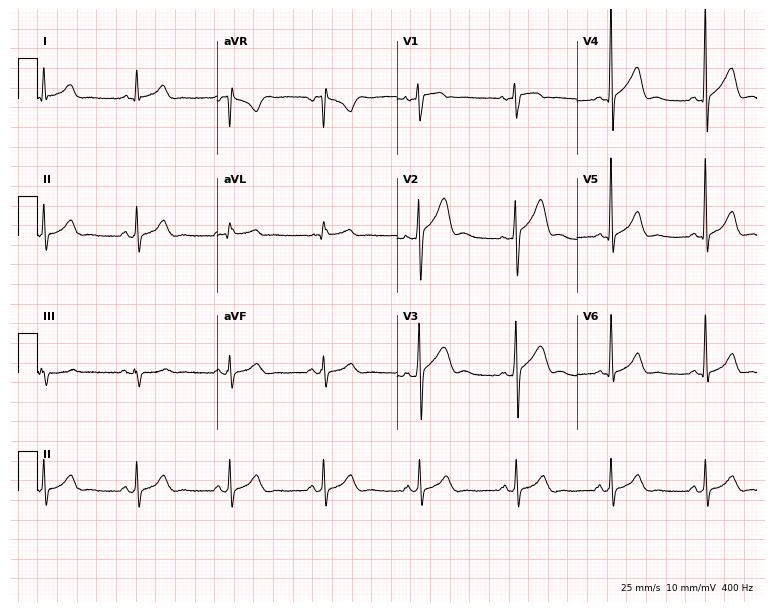
12-lead ECG (7.3-second recording at 400 Hz) from a 63-year-old man. Labelled as a normal ECG.